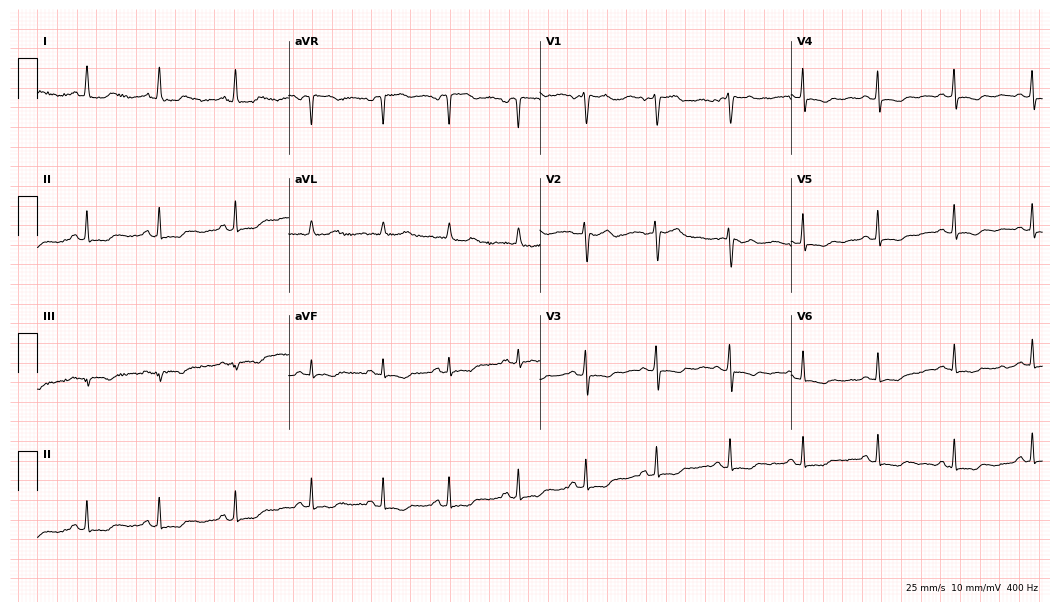
12-lead ECG from a female, 49 years old. Screened for six findings — first-degree AV block, right bundle branch block (RBBB), left bundle branch block (LBBB), sinus bradycardia, atrial fibrillation (AF), sinus tachycardia — none is recorded.